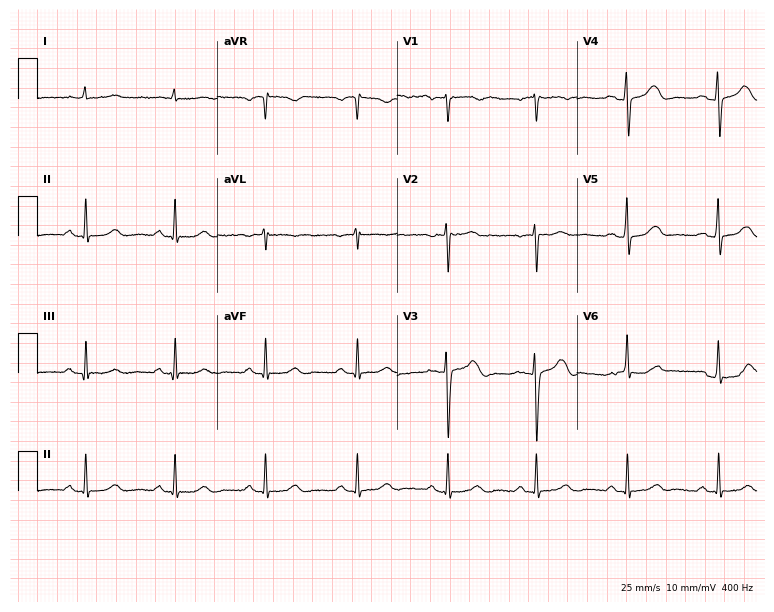
ECG — a 68-year-old female. Screened for six findings — first-degree AV block, right bundle branch block (RBBB), left bundle branch block (LBBB), sinus bradycardia, atrial fibrillation (AF), sinus tachycardia — none is recorded. Findings outside these six are not listed.